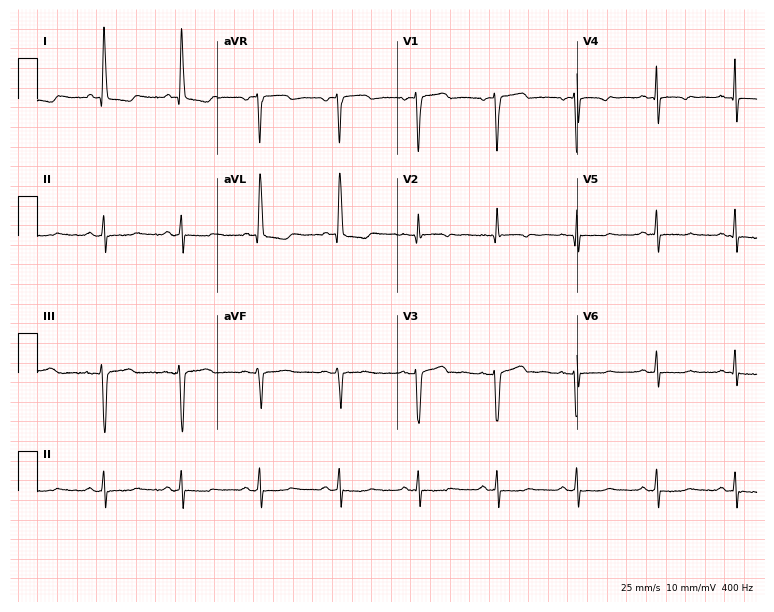
12-lead ECG from a female, 68 years old (7.3-second recording at 400 Hz). No first-degree AV block, right bundle branch block, left bundle branch block, sinus bradycardia, atrial fibrillation or sinus tachycardia recorded for this tracing. Only these six findings were labelled.